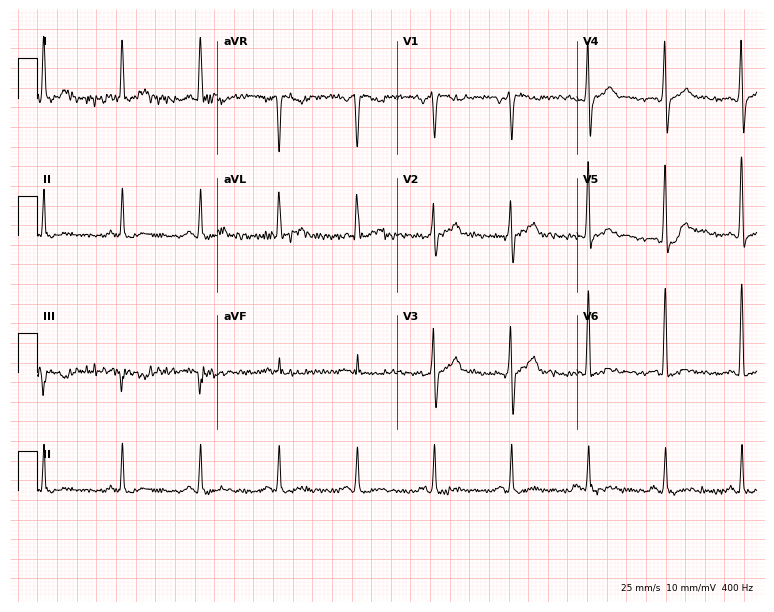
Standard 12-lead ECG recorded from a 51-year-old male patient (7.3-second recording at 400 Hz). None of these six findings is recorded: first-degree AV block, right bundle branch block, left bundle branch block, sinus bradycardia, atrial fibrillation, sinus tachycardia.